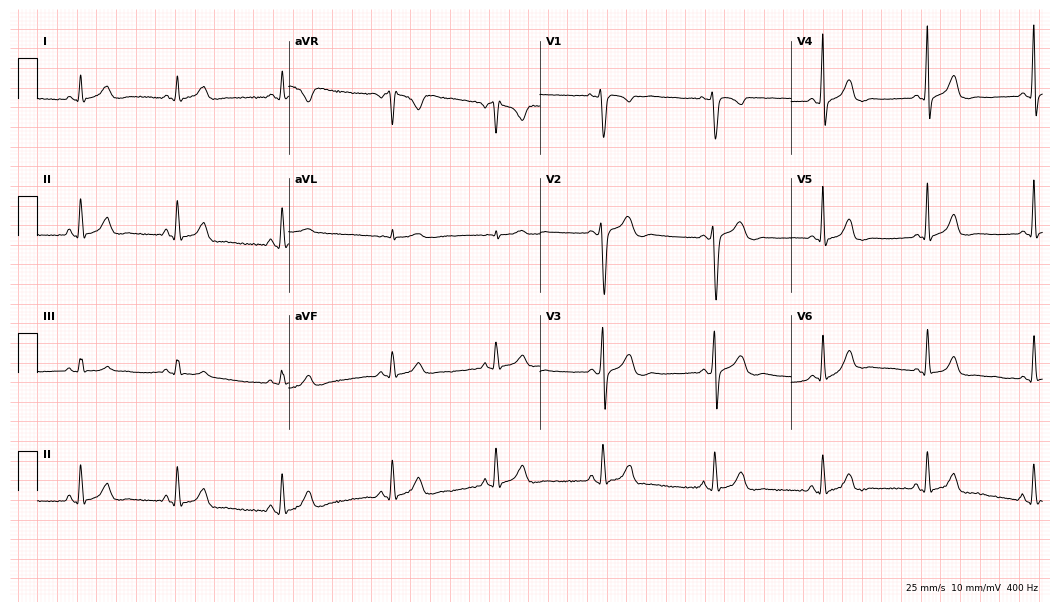
12-lead ECG from a woman, 40 years old (10.2-second recording at 400 Hz). No first-degree AV block, right bundle branch block (RBBB), left bundle branch block (LBBB), sinus bradycardia, atrial fibrillation (AF) or sinus tachycardia recorded for this tracing. Findings outside these six are not listed.